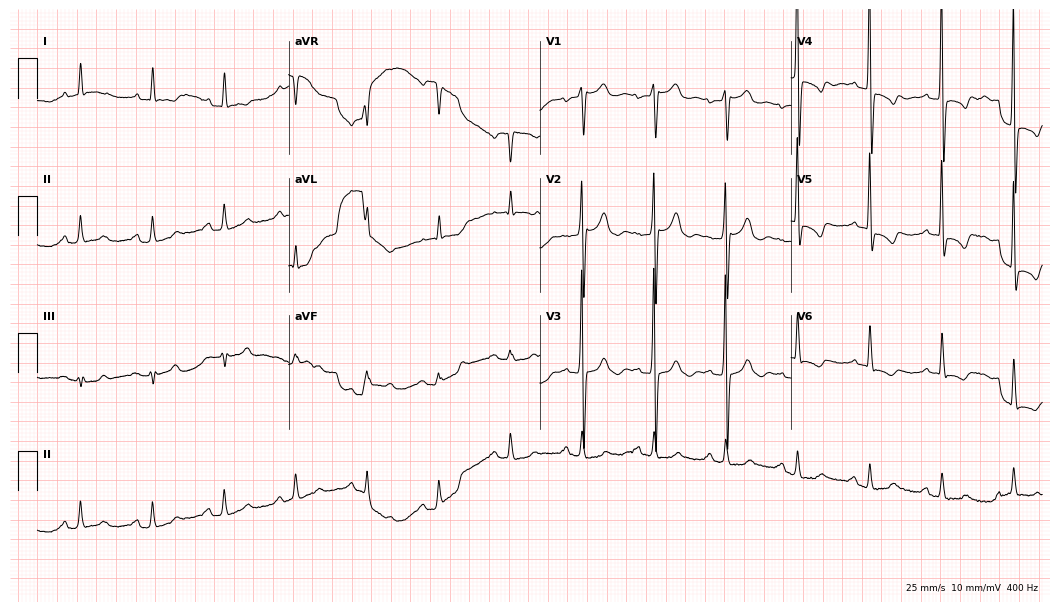
Standard 12-lead ECG recorded from a male, 84 years old (10.2-second recording at 400 Hz). None of these six findings is recorded: first-degree AV block, right bundle branch block (RBBB), left bundle branch block (LBBB), sinus bradycardia, atrial fibrillation (AF), sinus tachycardia. Only these six findings were labelled.